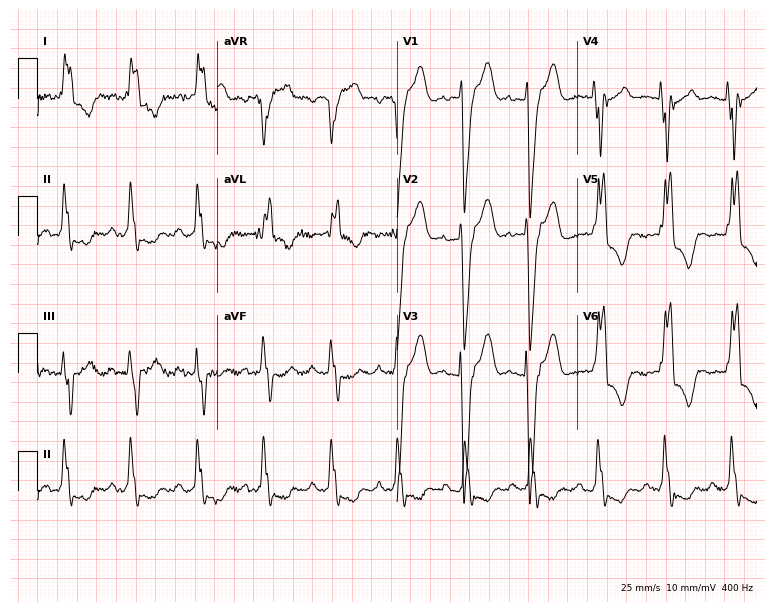
ECG (7.3-second recording at 400 Hz) — an 82-year-old female patient. Findings include left bundle branch block (LBBB).